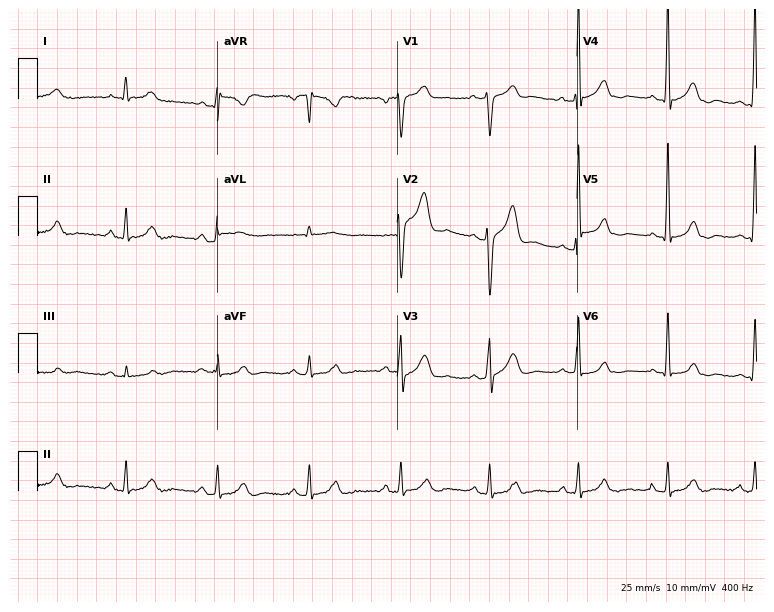
12-lead ECG from a male, 53 years old (7.3-second recording at 400 Hz). No first-degree AV block, right bundle branch block, left bundle branch block, sinus bradycardia, atrial fibrillation or sinus tachycardia recorded for this tracing. Other findings, if any, are not listed.